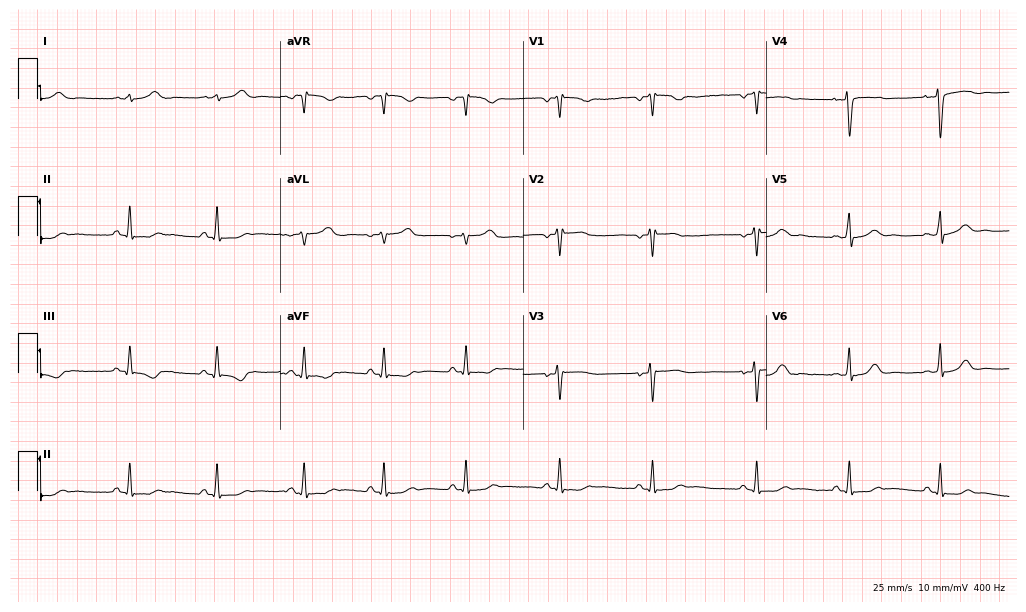
Standard 12-lead ECG recorded from a female patient, 21 years old (9.9-second recording at 400 Hz). Read as a normal ECG.